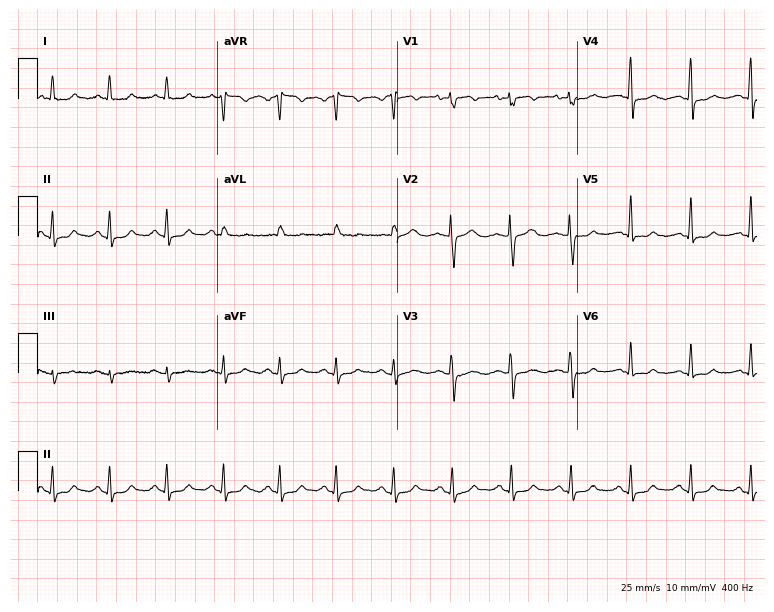
Standard 12-lead ECG recorded from a woman, 71 years old. None of these six findings is recorded: first-degree AV block, right bundle branch block, left bundle branch block, sinus bradycardia, atrial fibrillation, sinus tachycardia.